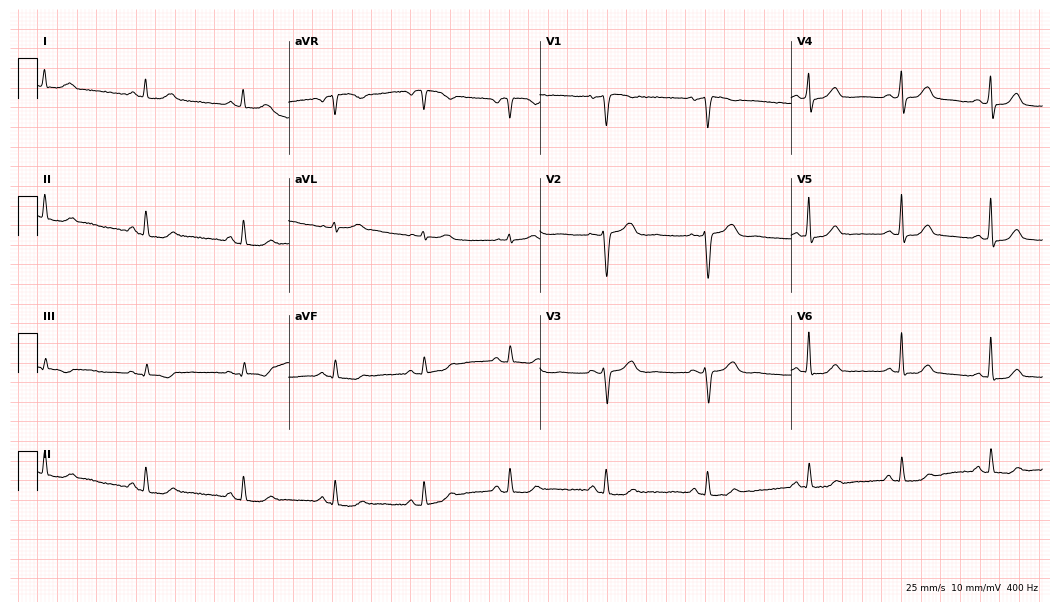
12-lead ECG from a 50-year-old female. Labelled as a normal ECG.